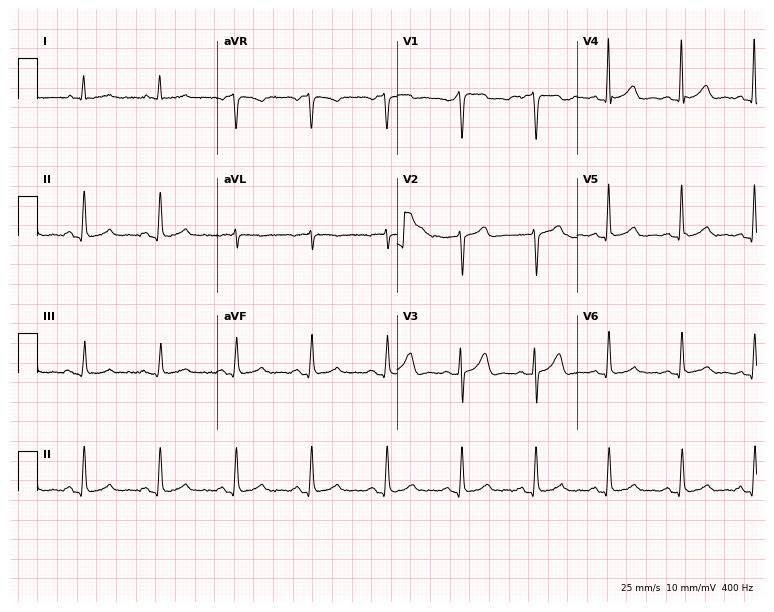
12-lead ECG from a 69-year-old male. Labelled as a normal ECG.